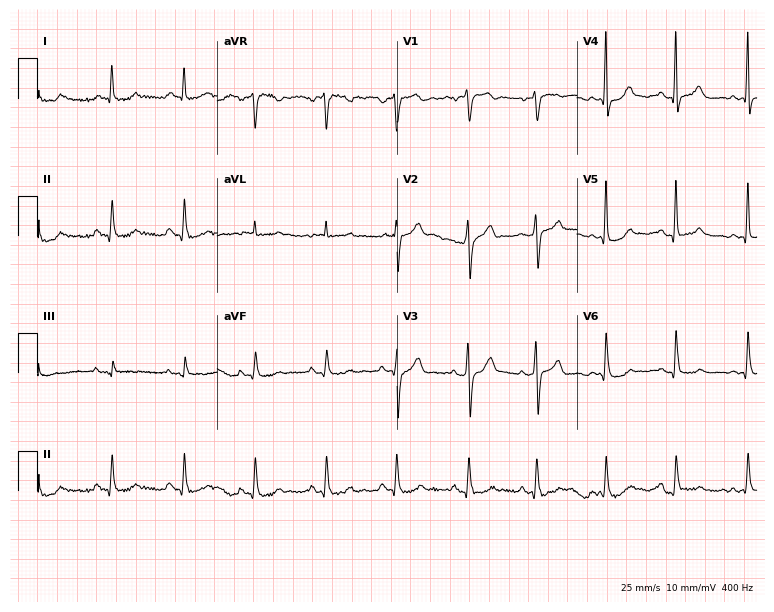
Standard 12-lead ECG recorded from a female patient, 54 years old. Read as a normal ECG.